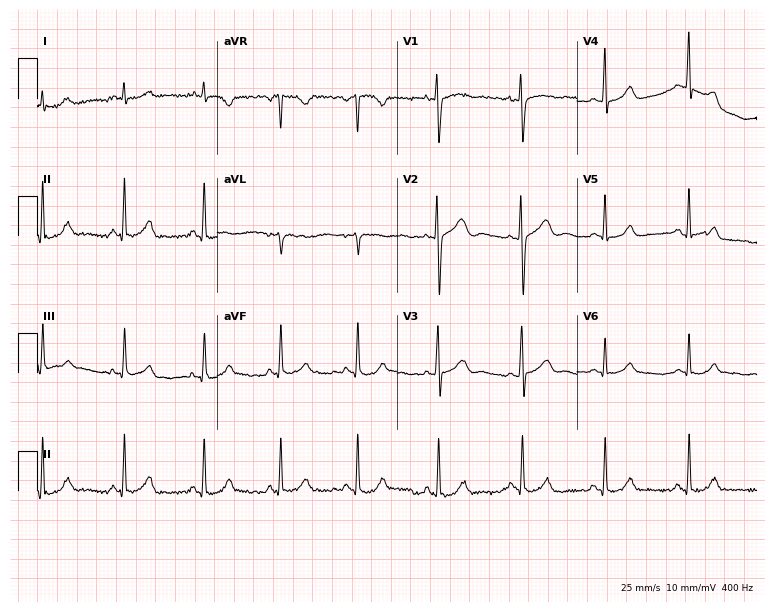
12-lead ECG from a female patient, 29 years old (7.3-second recording at 400 Hz). No first-degree AV block, right bundle branch block, left bundle branch block, sinus bradycardia, atrial fibrillation or sinus tachycardia recorded for this tracing. Other findings, if any, are not listed.